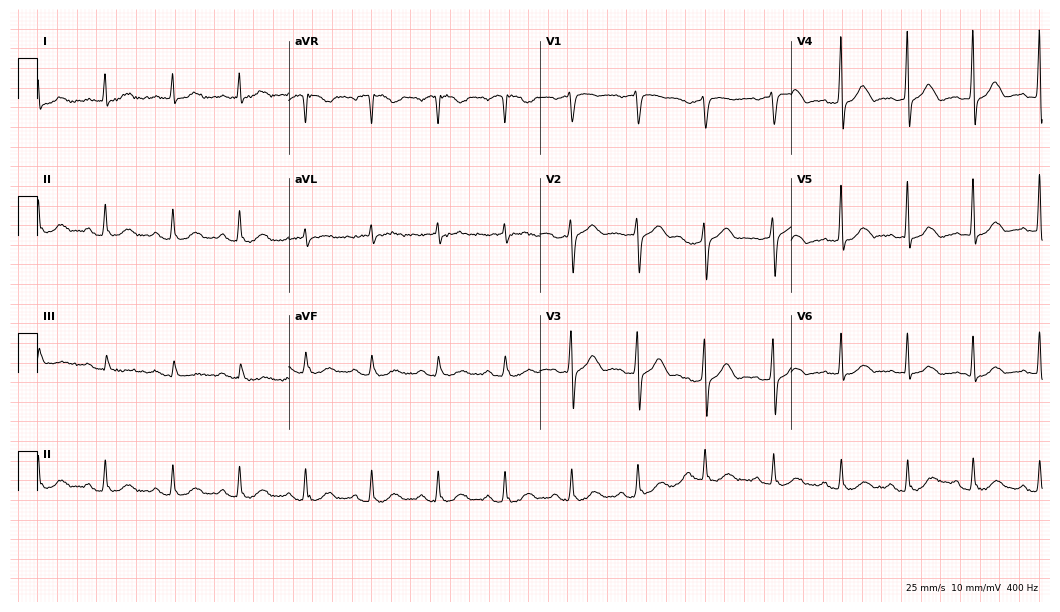
12-lead ECG from a male patient, 70 years old. No first-degree AV block, right bundle branch block (RBBB), left bundle branch block (LBBB), sinus bradycardia, atrial fibrillation (AF) or sinus tachycardia recorded for this tracing.